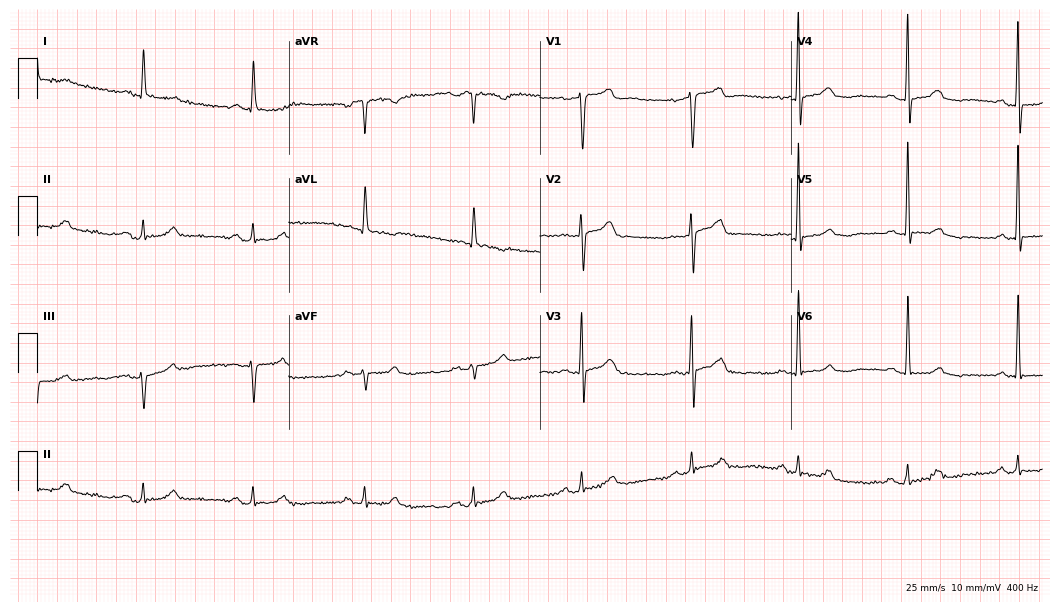
12-lead ECG (10.2-second recording at 400 Hz) from a 74-year-old male. Screened for six findings — first-degree AV block, right bundle branch block, left bundle branch block, sinus bradycardia, atrial fibrillation, sinus tachycardia — none is recorded.